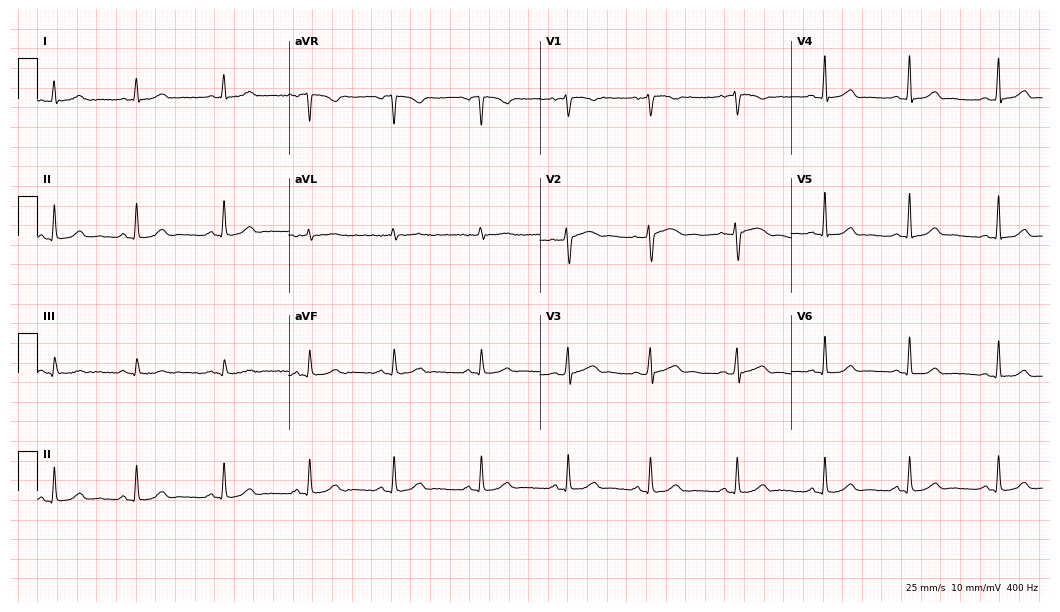
12-lead ECG from a 27-year-old female patient (10.2-second recording at 400 Hz). Recorded interpretation: within normal limits.